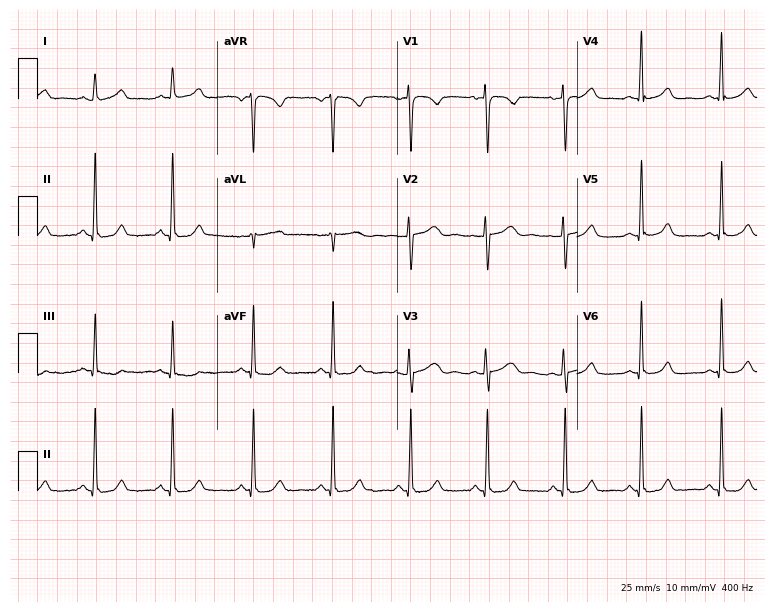
Standard 12-lead ECG recorded from a 46-year-old woman. Read as a normal ECG.